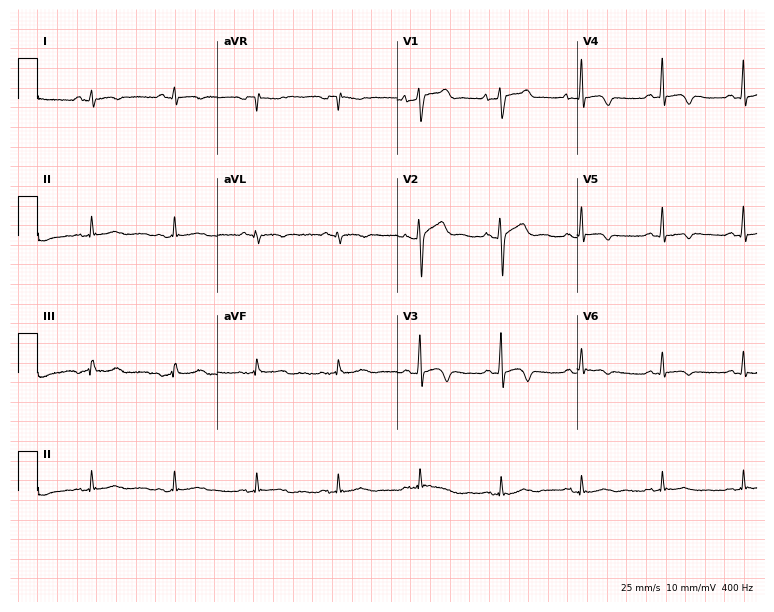
12-lead ECG from a male, 48 years old. Screened for six findings — first-degree AV block, right bundle branch block, left bundle branch block, sinus bradycardia, atrial fibrillation, sinus tachycardia — none is recorded.